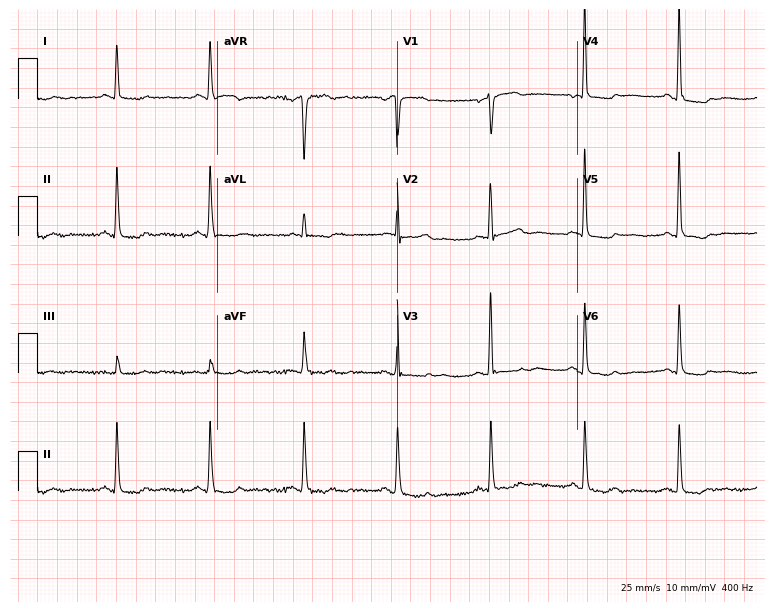
ECG (7.3-second recording at 400 Hz) — a female, 62 years old. Screened for six findings — first-degree AV block, right bundle branch block, left bundle branch block, sinus bradycardia, atrial fibrillation, sinus tachycardia — none is recorded. Findings outside these six are not listed.